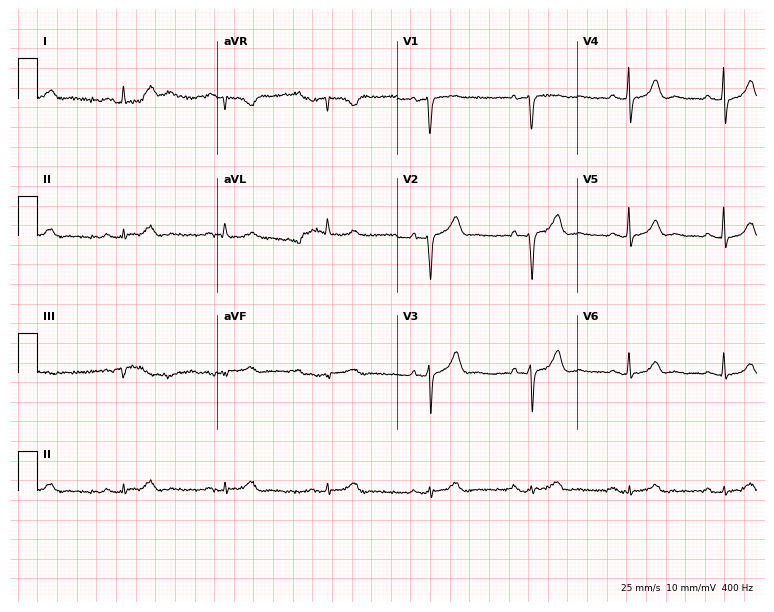
Standard 12-lead ECG recorded from a 72-year-old male (7.3-second recording at 400 Hz). None of these six findings is recorded: first-degree AV block, right bundle branch block, left bundle branch block, sinus bradycardia, atrial fibrillation, sinus tachycardia. Findings outside these six are not listed.